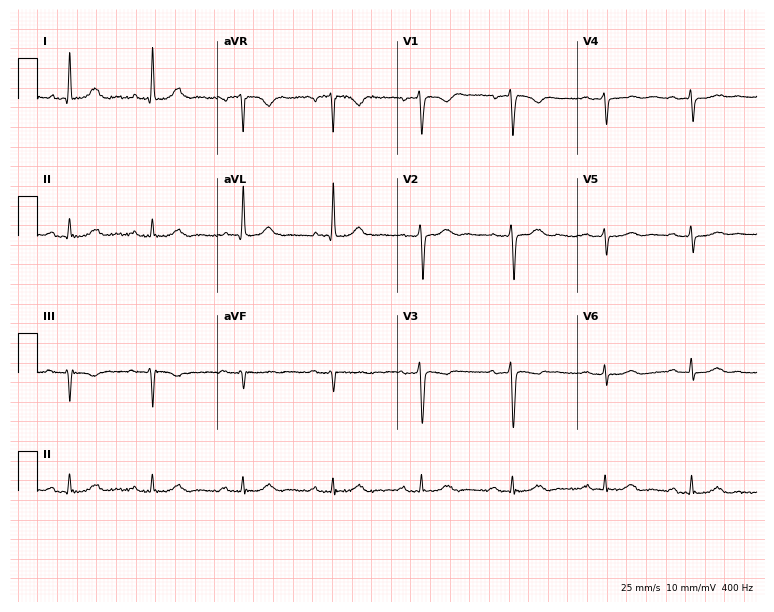
ECG — a 72-year-old female patient. Screened for six findings — first-degree AV block, right bundle branch block, left bundle branch block, sinus bradycardia, atrial fibrillation, sinus tachycardia — none is recorded.